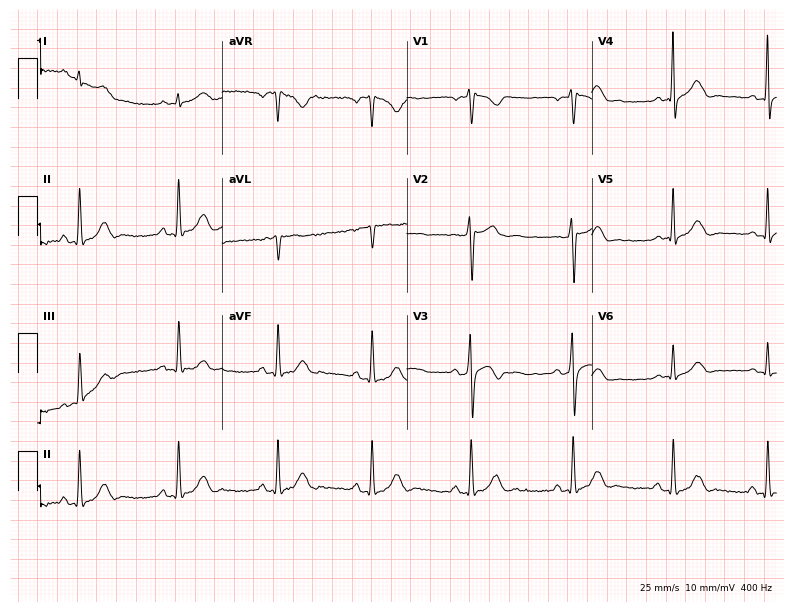
Electrocardiogram, a male patient, 40 years old. Overall reading on record: normal ECG.